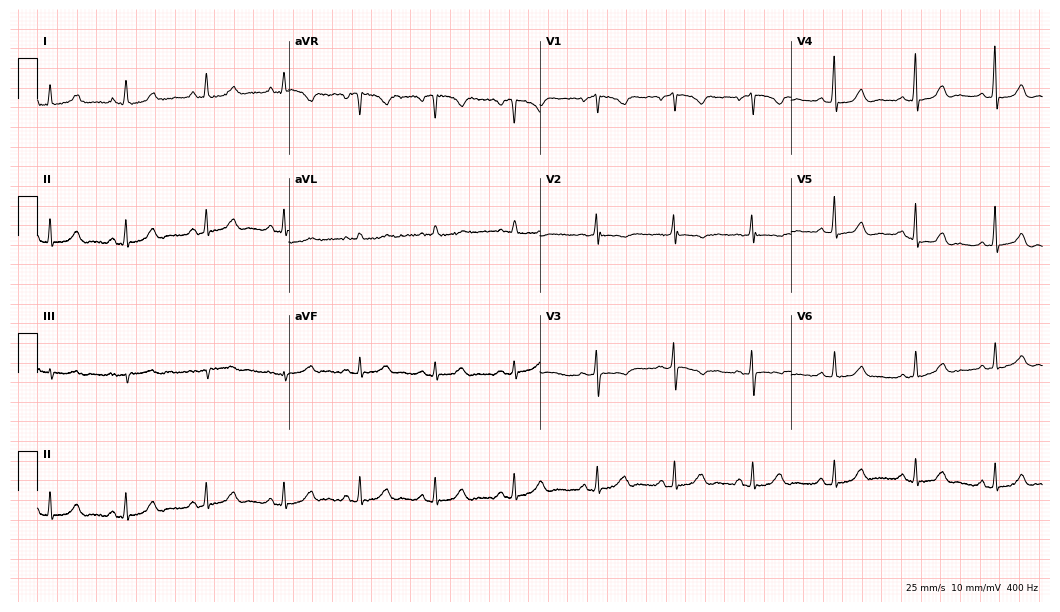
ECG — a woman, 56 years old. Screened for six findings — first-degree AV block, right bundle branch block, left bundle branch block, sinus bradycardia, atrial fibrillation, sinus tachycardia — none is recorded.